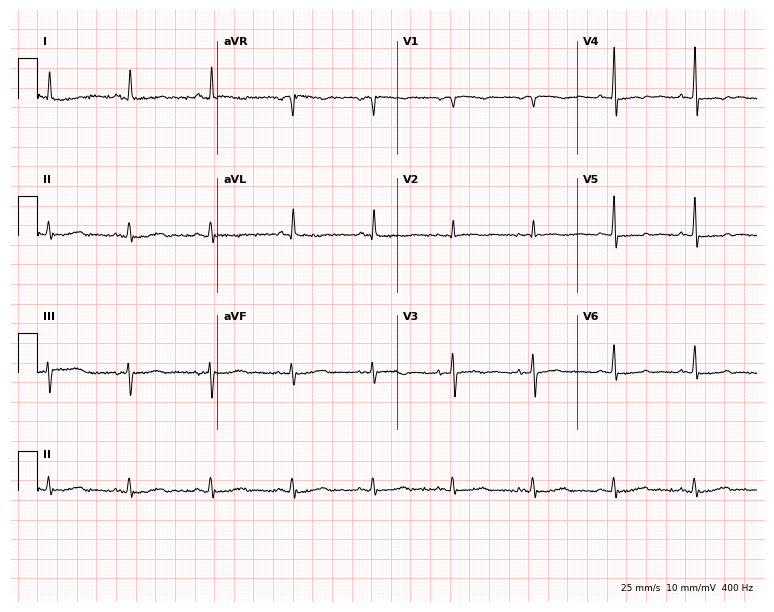
Electrocardiogram (7.3-second recording at 400 Hz), a 71-year-old female. Of the six screened findings (first-degree AV block, right bundle branch block, left bundle branch block, sinus bradycardia, atrial fibrillation, sinus tachycardia), none is recorded. Other findings, if any, are not listed.